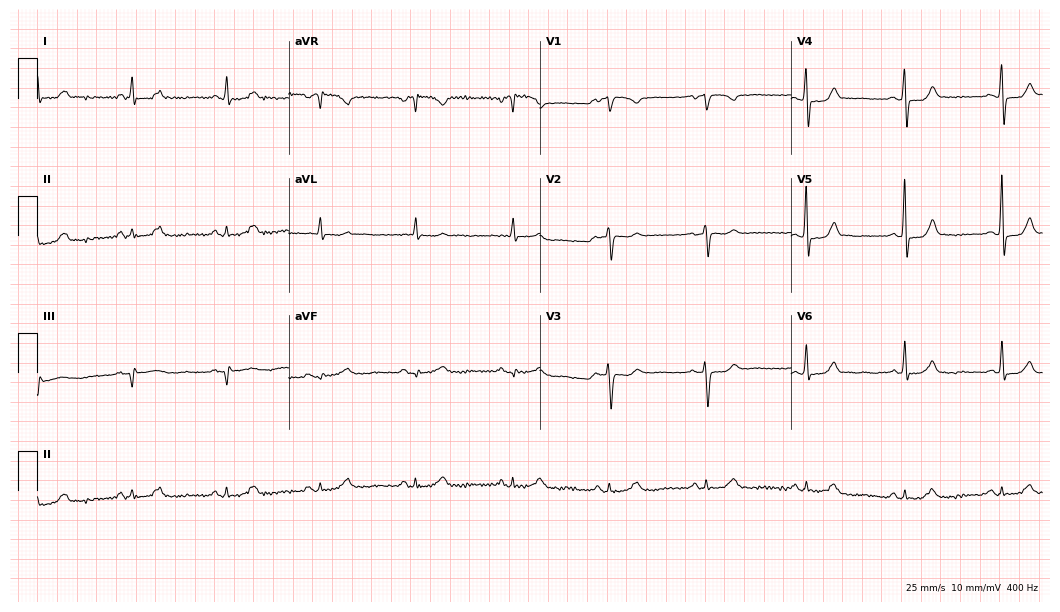
12-lead ECG from a 68-year-old female. No first-degree AV block, right bundle branch block, left bundle branch block, sinus bradycardia, atrial fibrillation or sinus tachycardia recorded for this tracing.